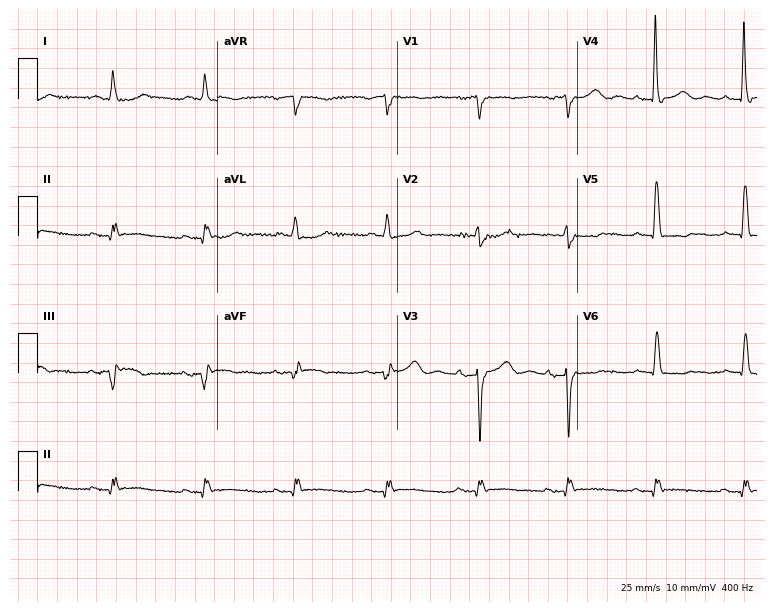
Electrocardiogram, a female patient, 80 years old. Of the six screened findings (first-degree AV block, right bundle branch block, left bundle branch block, sinus bradycardia, atrial fibrillation, sinus tachycardia), none is recorded.